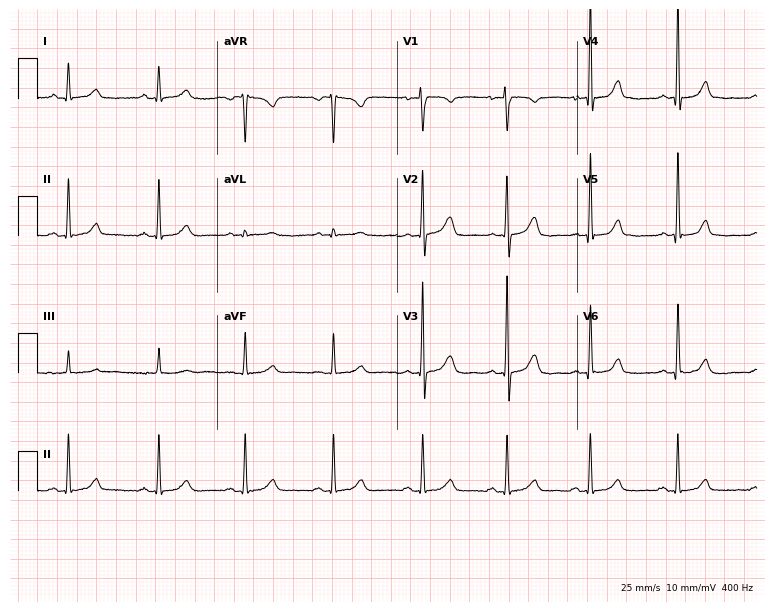
ECG (7.3-second recording at 400 Hz) — a woman, 37 years old. Labelled as a normal ECG.